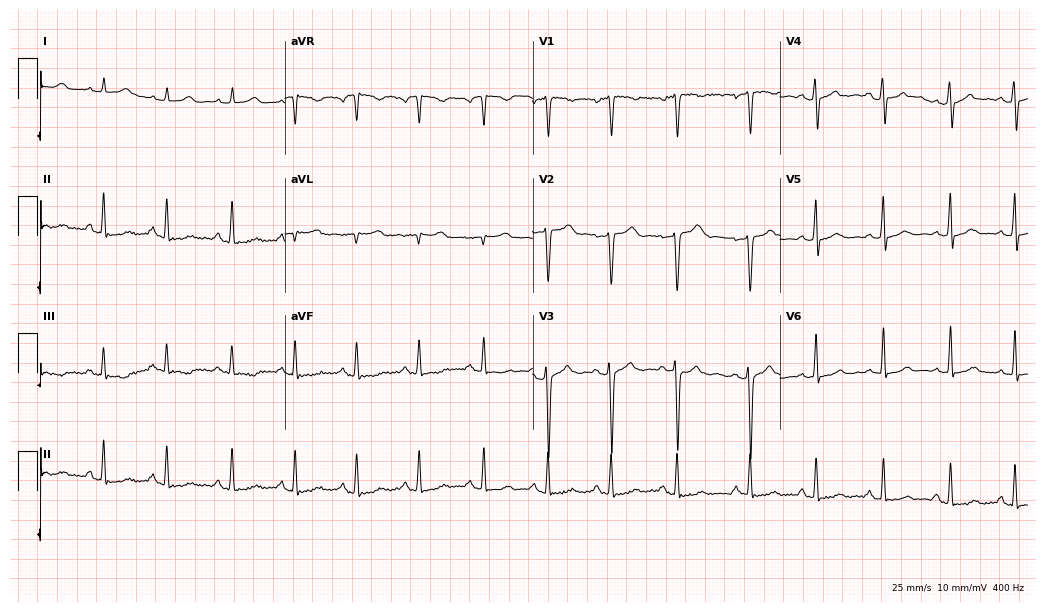
Electrocardiogram (10.1-second recording at 400 Hz), a female, 23 years old. Of the six screened findings (first-degree AV block, right bundle branch block, left bundle branch block, sinus bradycardia, atrial fibrillation, sinus tachycardia), none is recorded. Only these six findings were labelled.